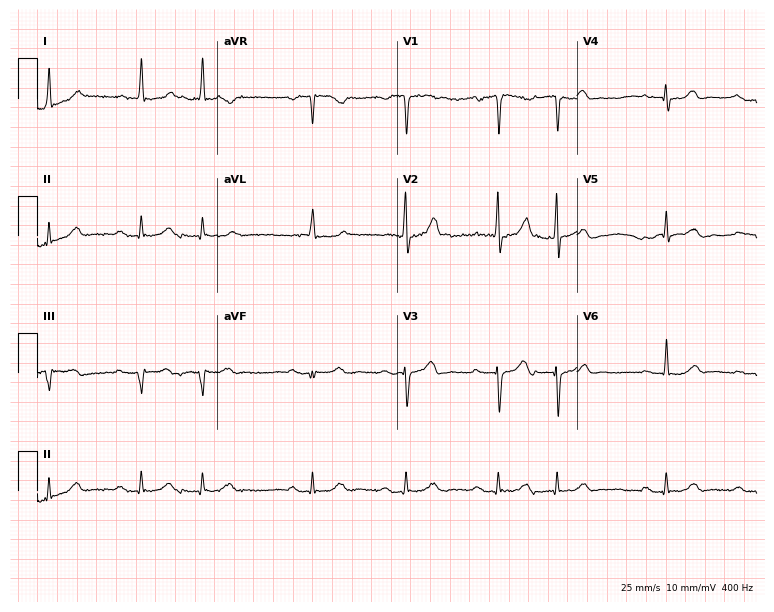
12-lead ECG from an 82-year-old male (7.3-second recording at 400 Hz). No first-degree AV block, right bundle branch block (RBBB), left bundle branch block (LBBB), sinus bradycardia, atrial fibrillation (AF) or sinus tachycardia recorded for this tracing. Findings outside these six are not listed.